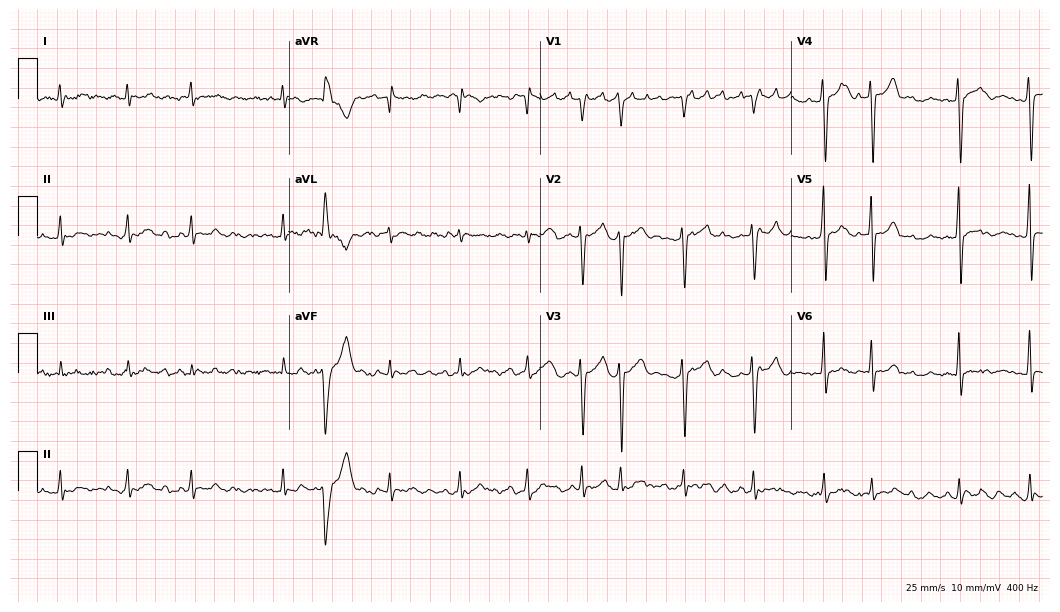
Standard 12-lead ECG recorded from a 56-year-old male. None of these six findings is recorded: first-degree AV block, right bundle branch block (RBBB), left bundle branch block (LBBB), sinus bradycardia, atrial fibrillation (AF), sinus tachycardia. Findings outside these six are not listed.